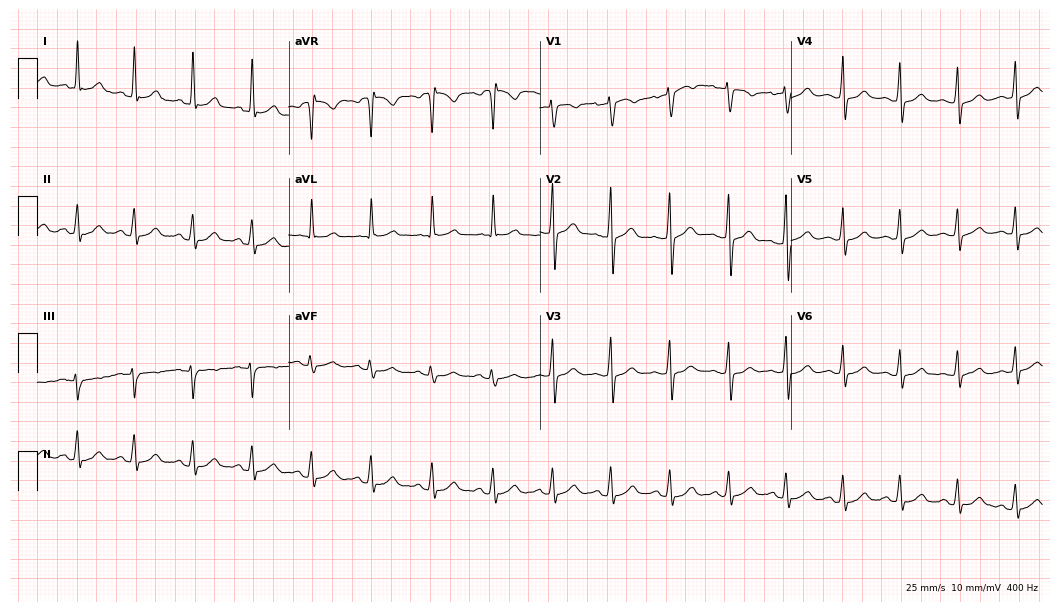
ECG (10.2-second recording at 400 Hz) — a 29-year-old female. Labelled as a normal ECG.